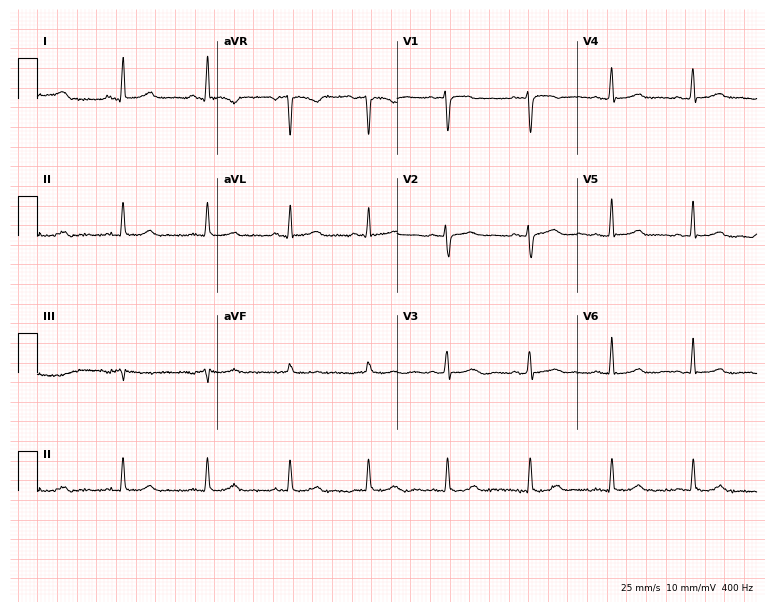
Electrocardiogram, a 47-year-old female patient. Overall reading on record: normal ECG.